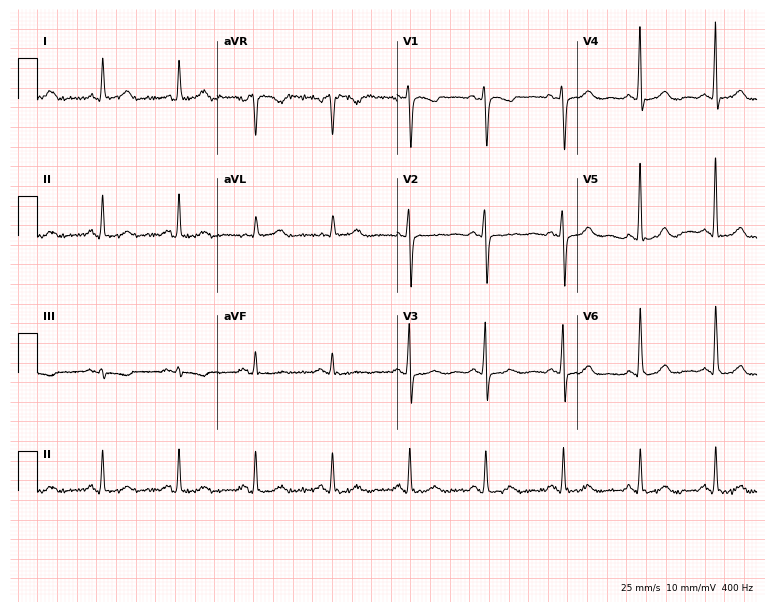
Resting 12-lead electrocardiogram. Patient: a 65-year-old female. None of these six findings is recorded: first-degree AV block, right bundle branch block, left bundle branch block, sinus bradycardia, atrial fibrillation, sinus tachycardia. Only these six findings were labelled.